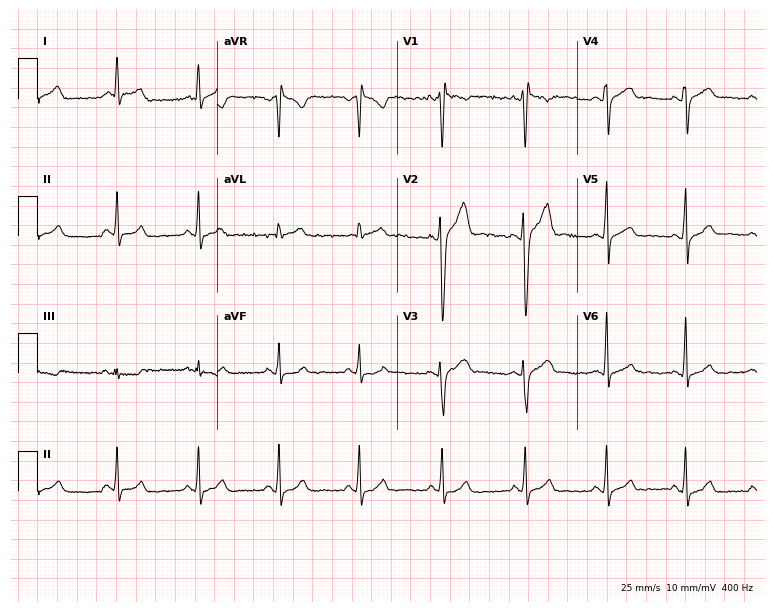
12-lead ECG from a 38-year-old male. No first-degree AV block, right bundle branch block, left bundle branch block, sinus bradycardia, atrial fibrillation or sinus tachycardia recorded for this tracing. Only these six findings were labelled.